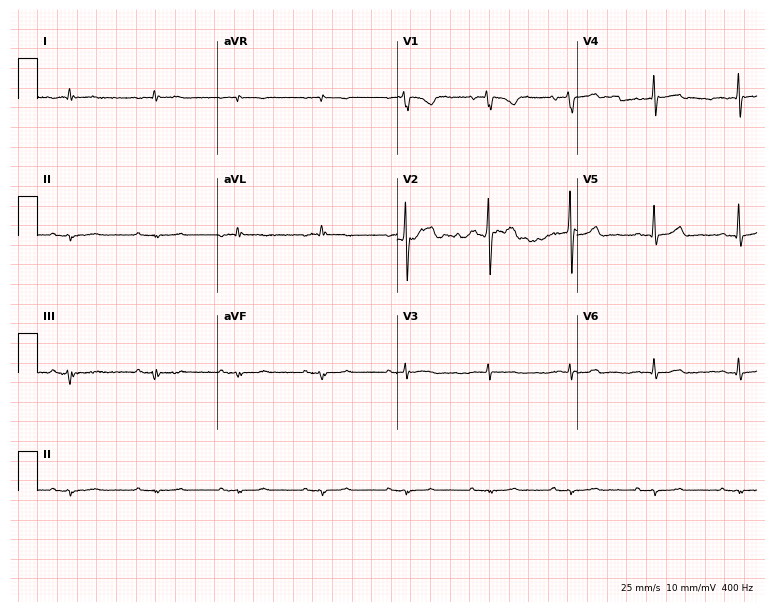
12-lead ECG from a male, 60 years old (7.3-second recording at 400 Hz). No first-degree AV block, right bundle branch block, left bundle branch block, sinus bradycardia, atrial fibrillation or sinus tachycardia recorded for this tracing. Findings outside these six are not listed.